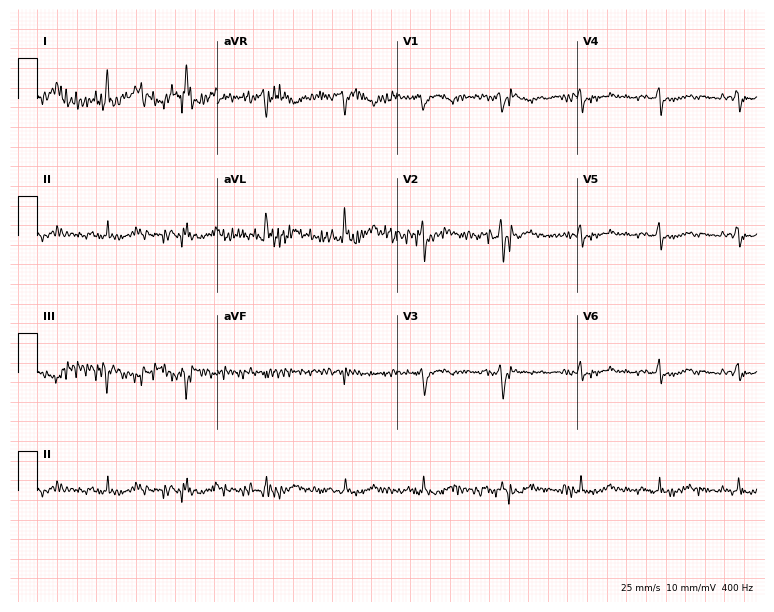
Electrocardiogram, a 65-year-old woman. Of the six screened findings (first-degree AV block, right bundle branch block, left bundle branch block, sinus bradycardia, atrial fibrillation, sinus tachycardia), none is recorded.